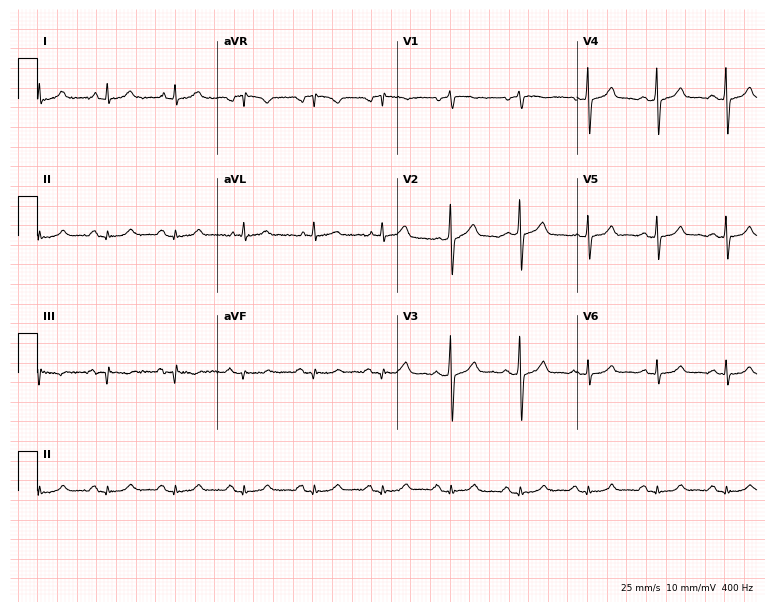
Electrocardiogram (7.3-second recording at 400 Hz), a 45-year-old man. Overall reading on record: normal ECG.